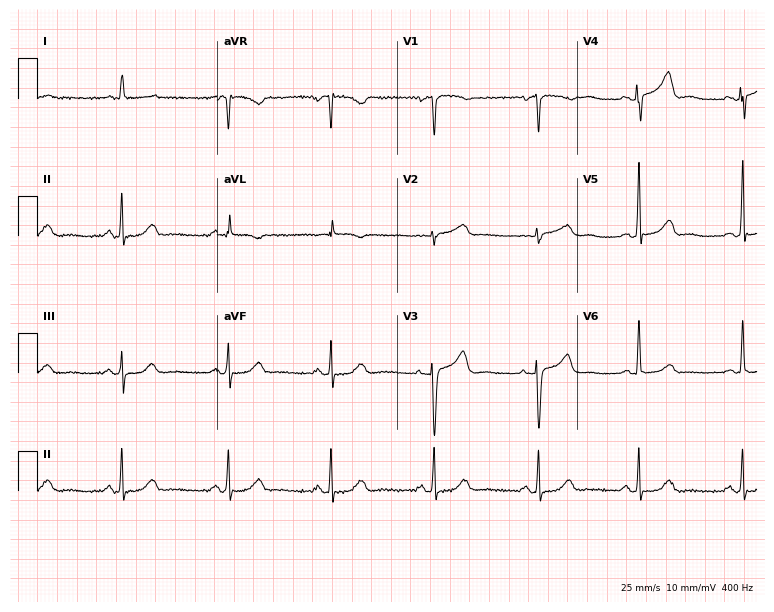
12-lead ECG from a 66-year-old female. Labelled as a normal ECG.